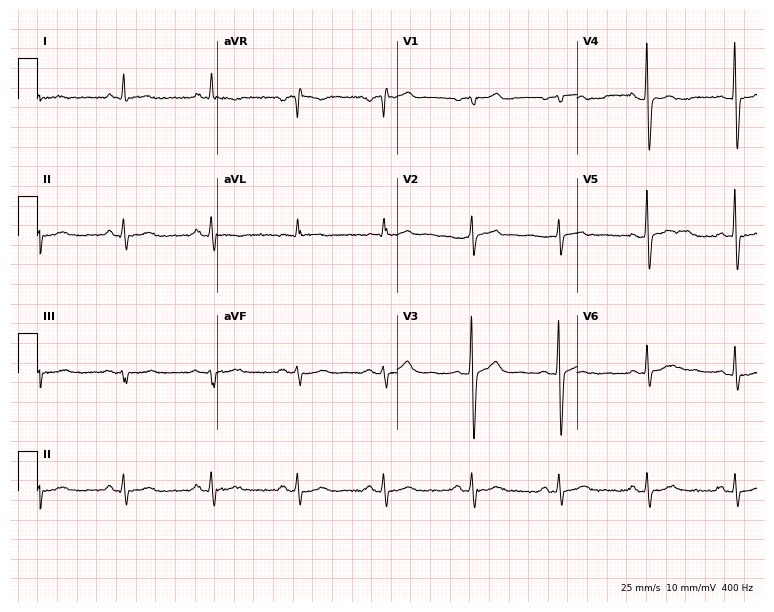
Electrocardiogram, a male patient, 64 years old. Of the six screened findings (first-degree AV block, right bundle branch block, left bundle branch block, sinus bradycardia, atrial fibrillation, sinus tachycardia), none is recorded. Only these six findings were labelled.